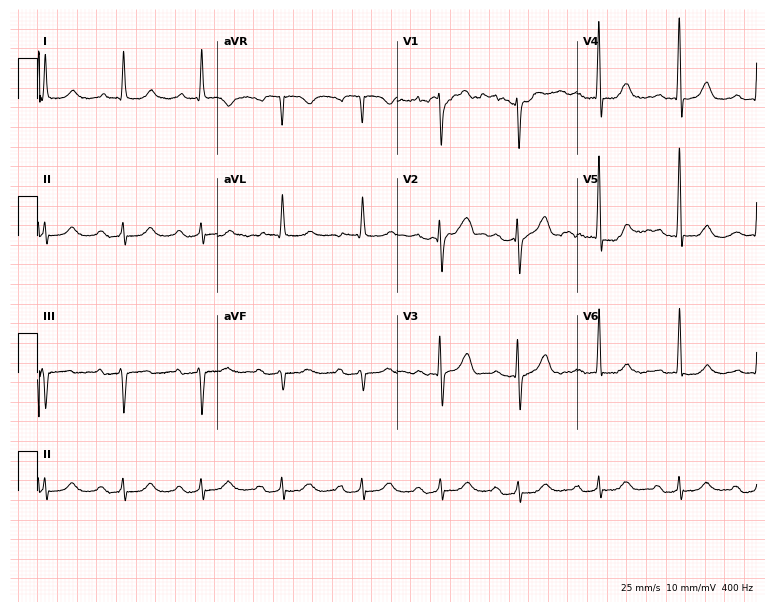
Standard 12-lead ECG recorded from an 80-year-old male (7.3-second recording at 400 Hz). None of these six findings is recorded: first-degree AV block, right bundle branch block, left bundle branch block, sinus bradycardia, atrial fibrillation, sinus tachycardia. Only these six findings were labelled.